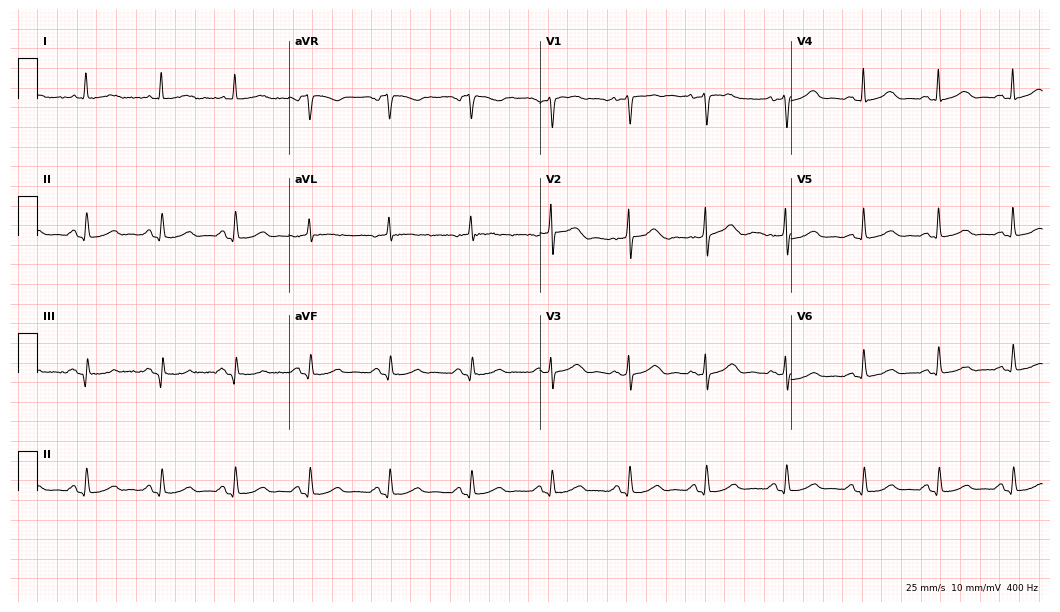
Resting 12-lead electrocardiogram. Patient: a female, 78 years old. Read as a normal ECG.